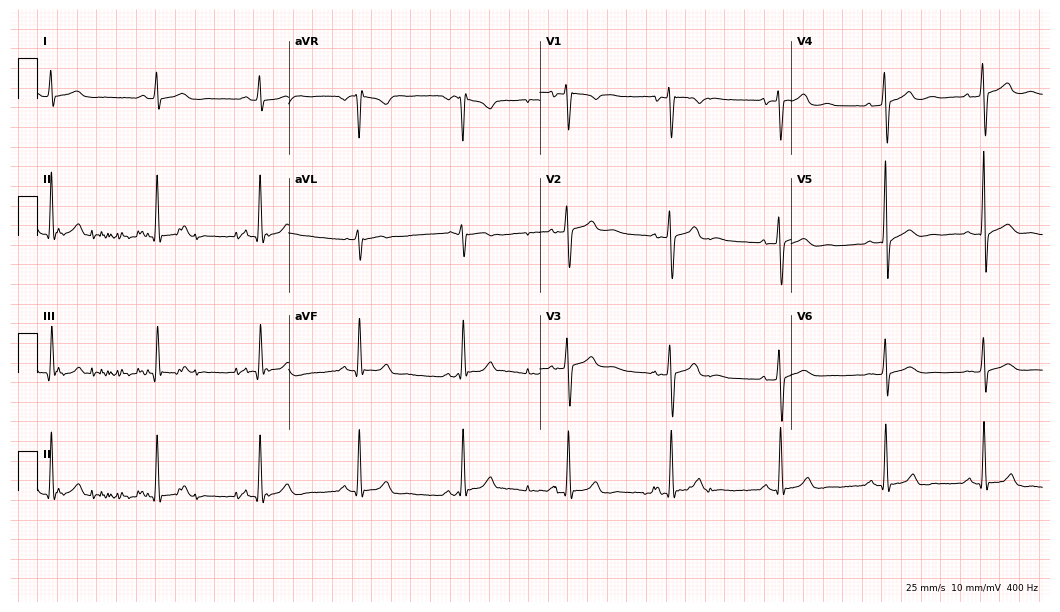
Electrocardiogram, a 32-year-old man. Overall reading on record: normal ECG.